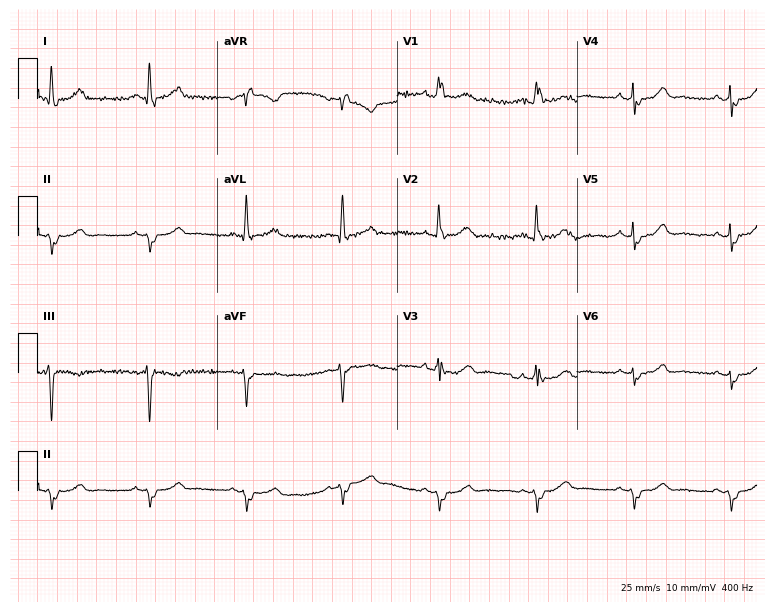
Resting 12-lead electrocardiogram (7.3-second recording at 400 Hz). Patient: a man, 66 years old. The tracing shows right bundle branch block.